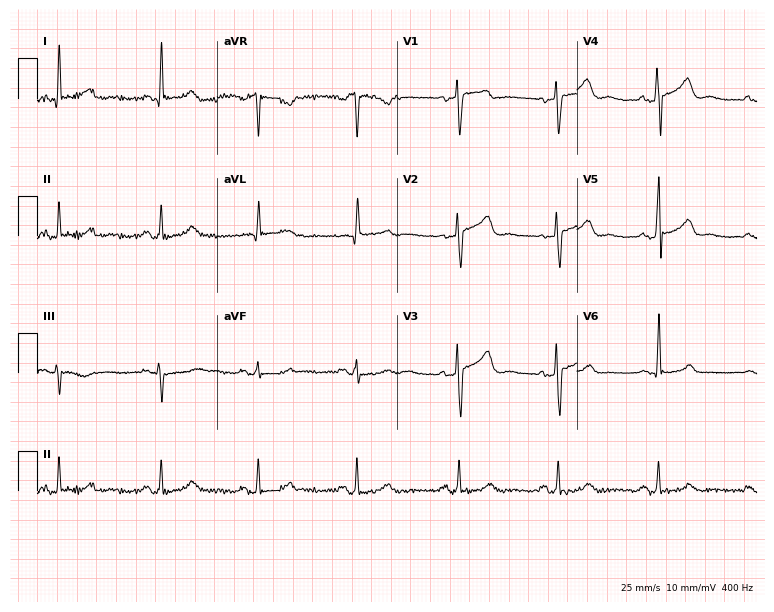
12-lead ECG from a woman, 49 years old (7.3-second recording at 400 Hz). No first-degree AV block, right bundle branch block, left bundle branch block, sinus bradycardia, atrial fibrillation or sinus tachycardia recorded for this tracing. Findings outside these six are not listed.